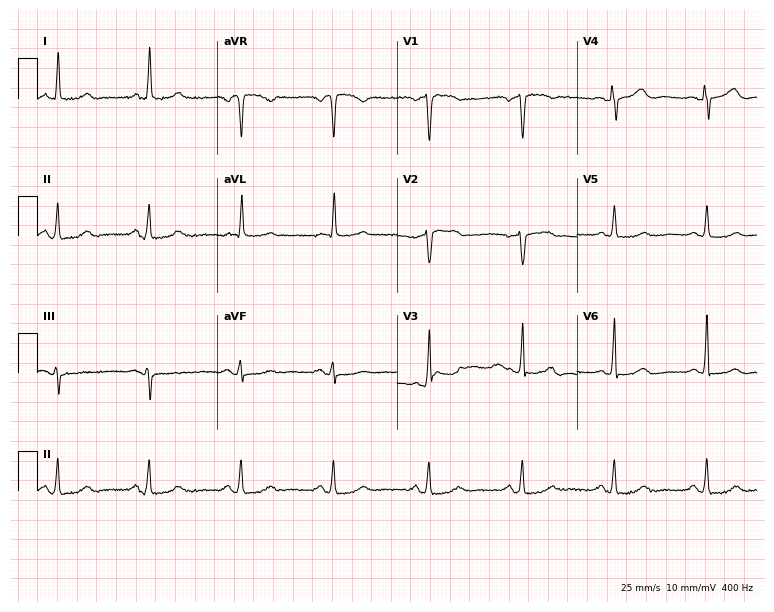
Electrocardiogram (7.3-second recording at 400 Hz), a 74-year-old female. Overall reading on record: normal ECG.